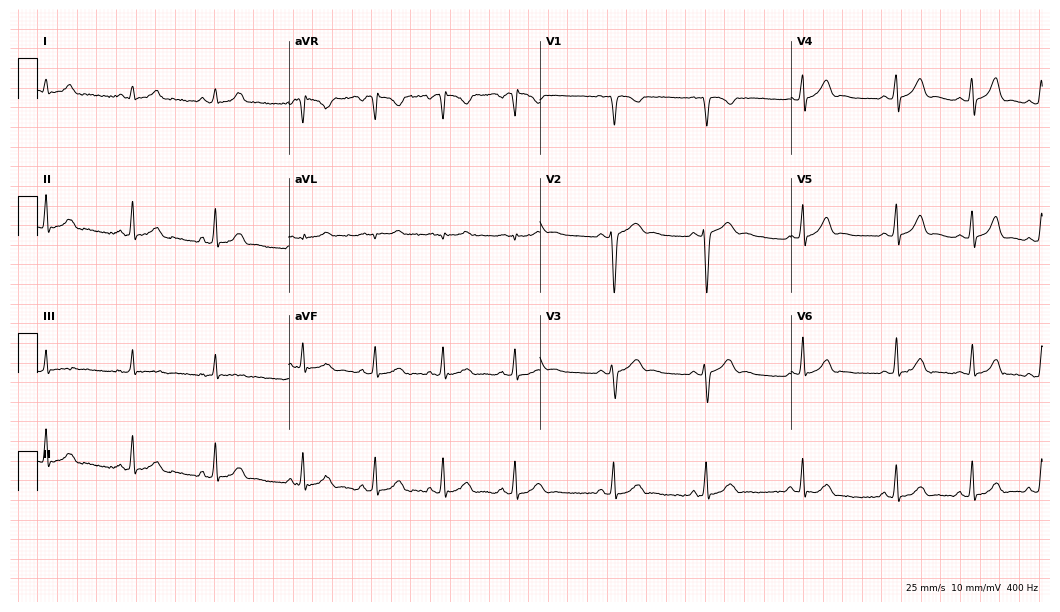
Standard 12-lead ECG recorded from a 17-year-old woman. Read as a normal ECG.